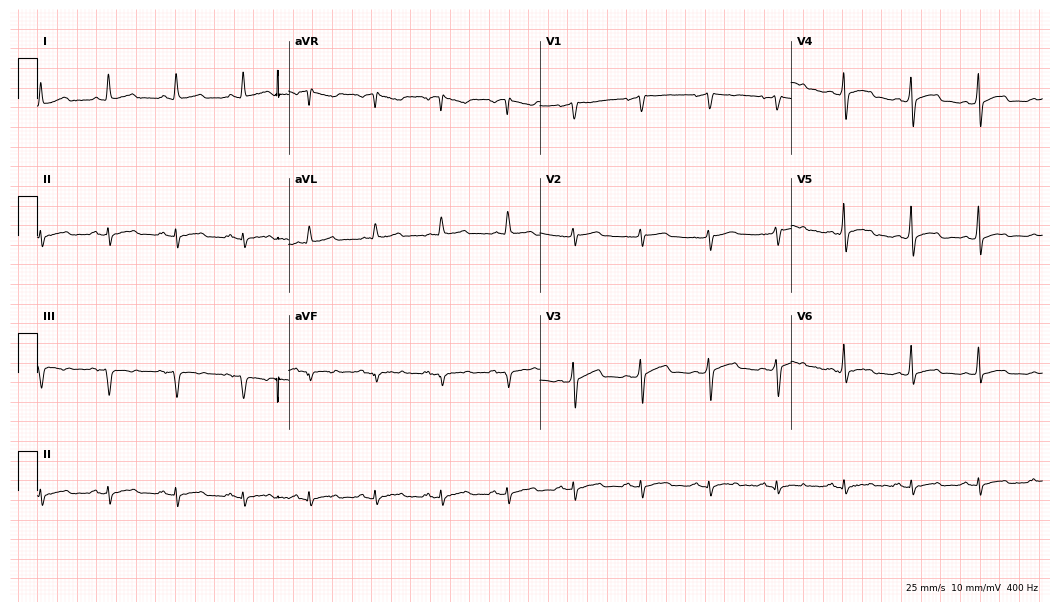
Resting 12-lead electrocardiogram. Patient: a man, 48 years old. None of these six findings is recorded: first-degree AV block, right bundle branch block, left bundle branch block, sinus bradycardia, atrial fibrillation, sinus tachycardia. Only these six findings were labelled.